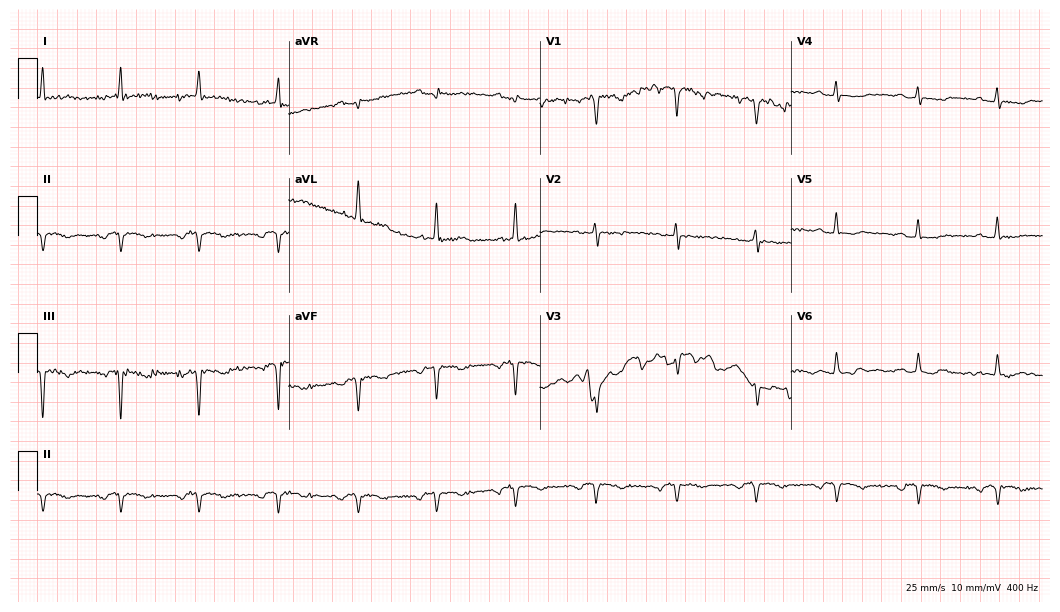
12-lead ECG (10.2-second recording at 400 Hz) from a 52-year-old female patient. Screened for six findings — first-degree AV block, right bundle branch block, left bundle branch block, sinus bradycardia, atrial fibrillation, sinus tachycardia — none is recorded. Only these six findings were labelled.